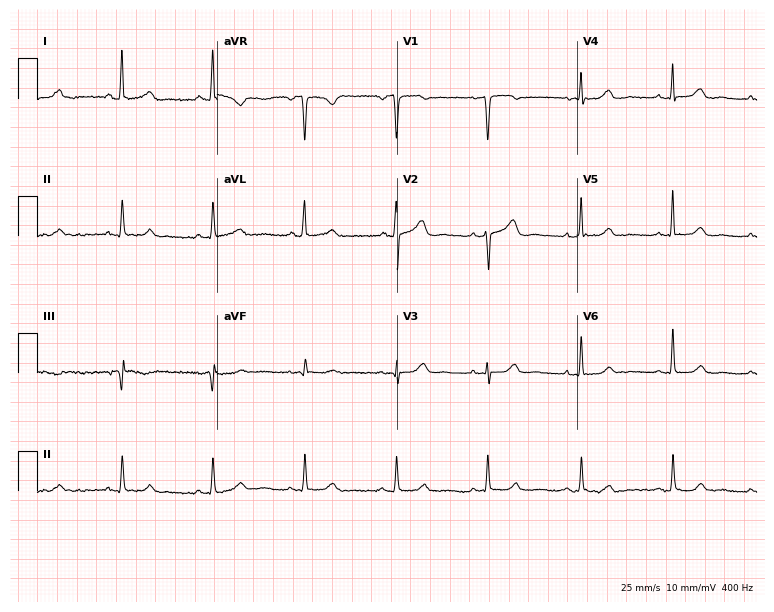
Standard 12-lead ECG recorded from a 65-year-old woman (7.3-second recording at 400 Hz). None of these six findings is recorded: first-degree AV block, right bundle branch block, left bundle branch block, sinus bradycardia, atrial fibrillation, sinus tachycardia.